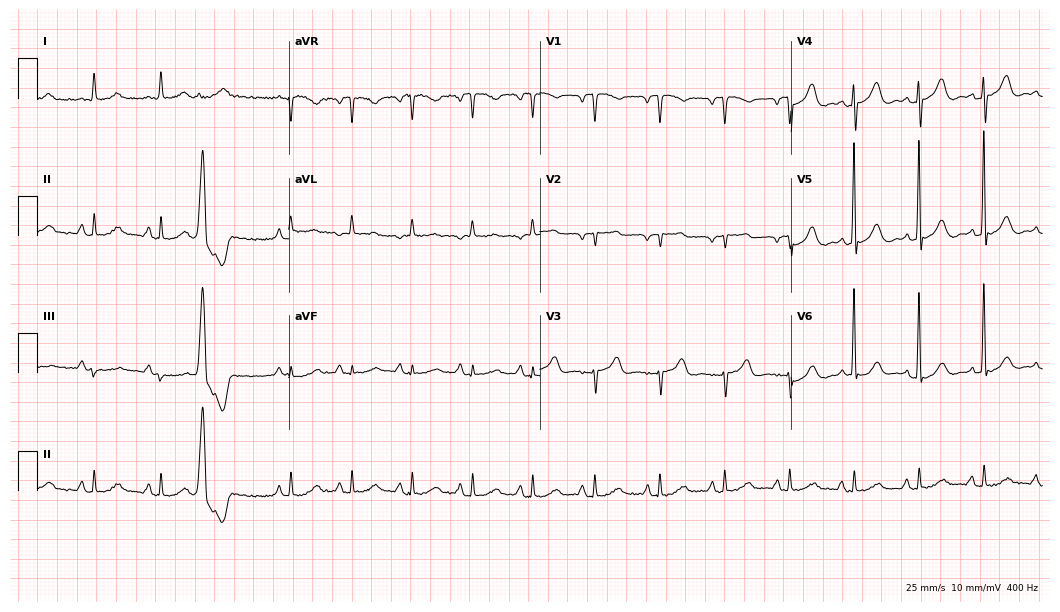
Electrocardiogram, a woman, 64 years old. Of the six screened findings (first-degree AV block, right bundle branch block, left bundle branch block, sinus bradycardia, atrial fibrillation, sinus tachycardia), none is recorded. Other findings, if any, are not listed.